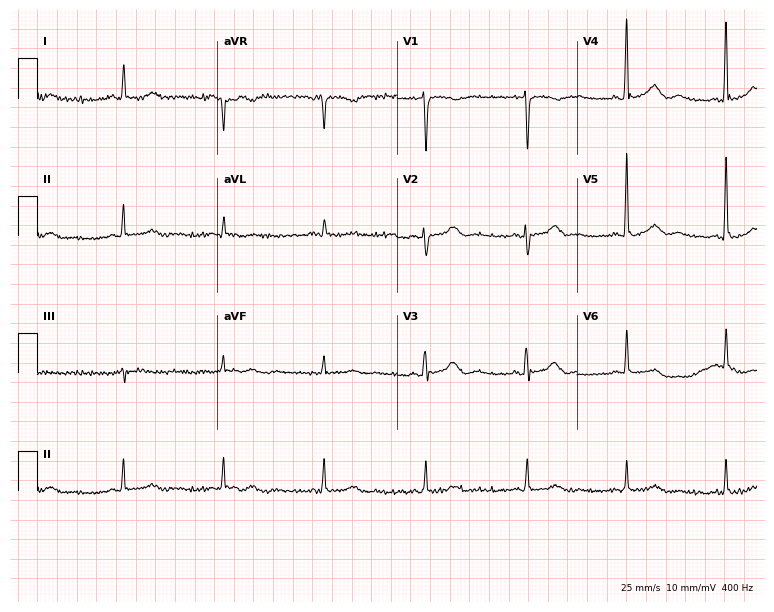
ECG (7.3-second recording at 400 Hz) — an 82-year-old female. Screened for six findings — first-degree AV block, right bundle branch block (RBBB), left bundle branch block (LBBB), sinus bradycardia, atrial fibrillation (AF), sinus tachycardia — none is recorded.